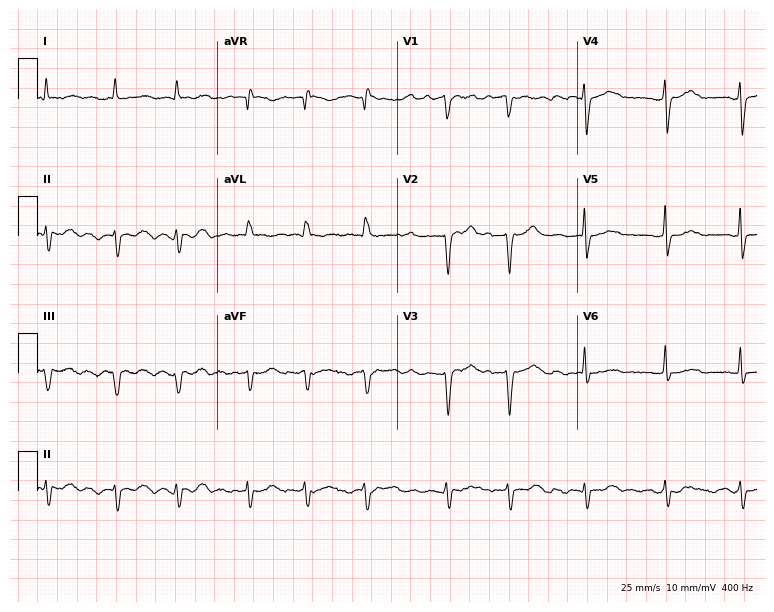
12-lead ECG from a 76-year-old female patient. Shows atrial fibrillation.